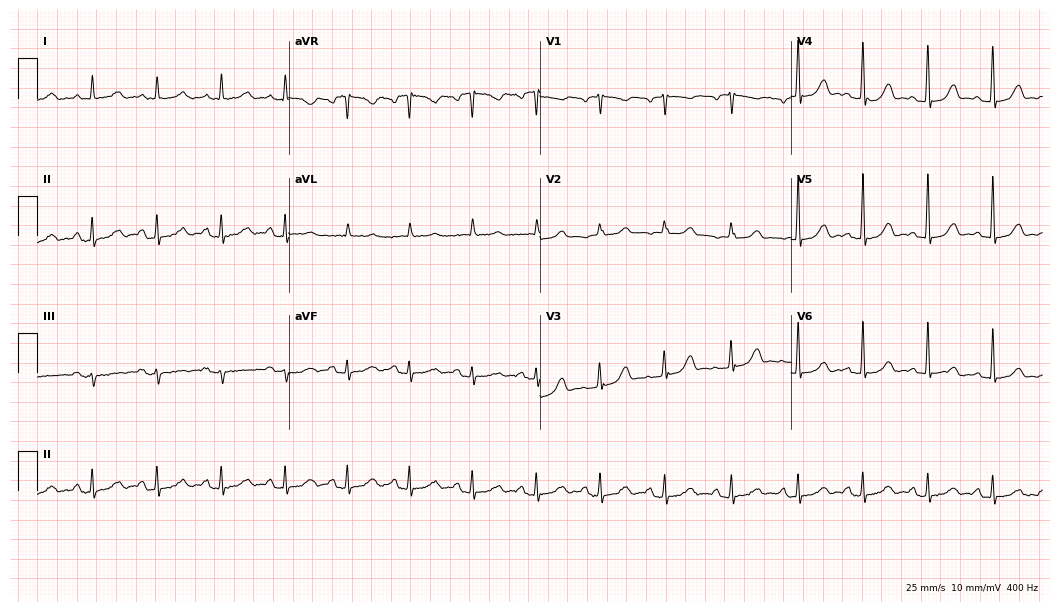
12-lead ECG from a woman, 69 years old. Recorded interpretation: within normal limits.